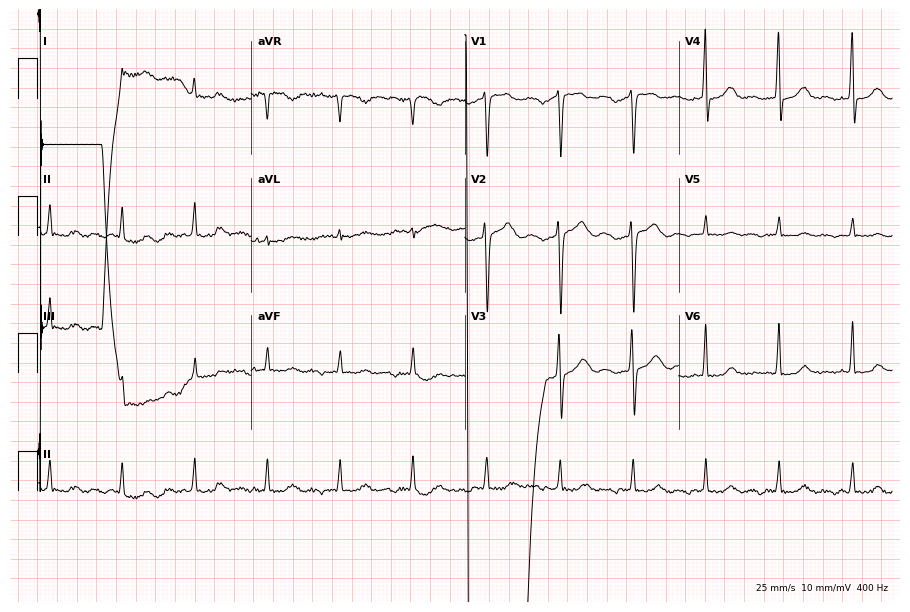
ECG — a male patient, 53 years old. Screened for six findings — first-degree AV block, right bundle branch block (RBBB), left bundle branch block (LBBB), sinus bradycardia, atrial fibrillation (AF), sinus tachycardia — none is recorded. Other findings, if any, are not listed.